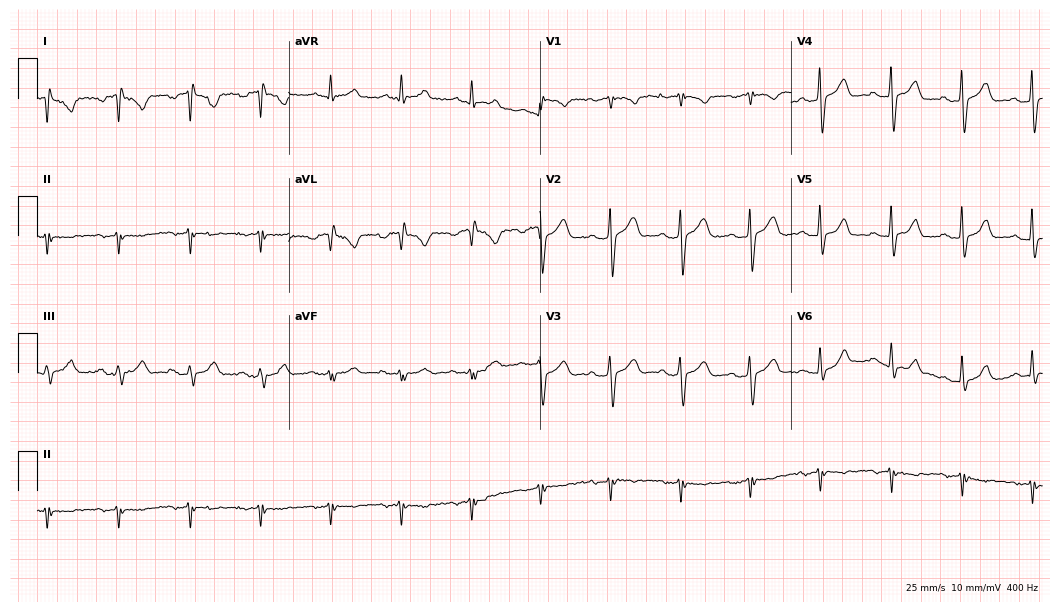
Standard 12-lead ECG recorded from a male, 54 years old (10.2-second recording at 400 Hz). None of these six findings is recorded: first-degree AV block, right bundle branch block (RBBB), left bundle branch block (LBBB), sinus bradycardia, atrial fibrillation (AF), sinus tachycardia. Other findings, if any, are not listed.